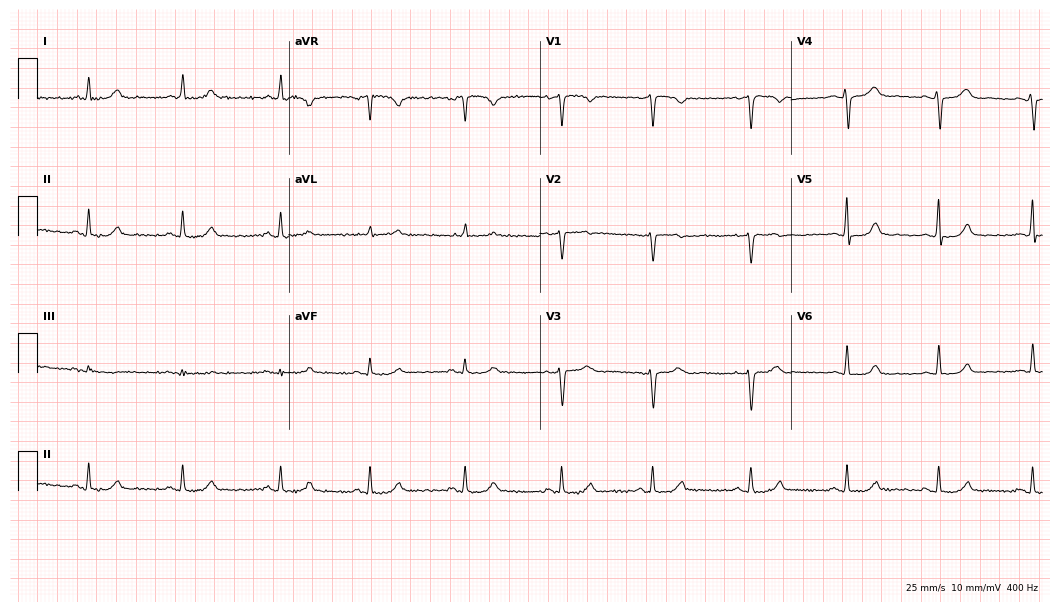
Resting 12-lead electrocardiogram. Patient: a 49-year-old woman. Read as a normal ECG.